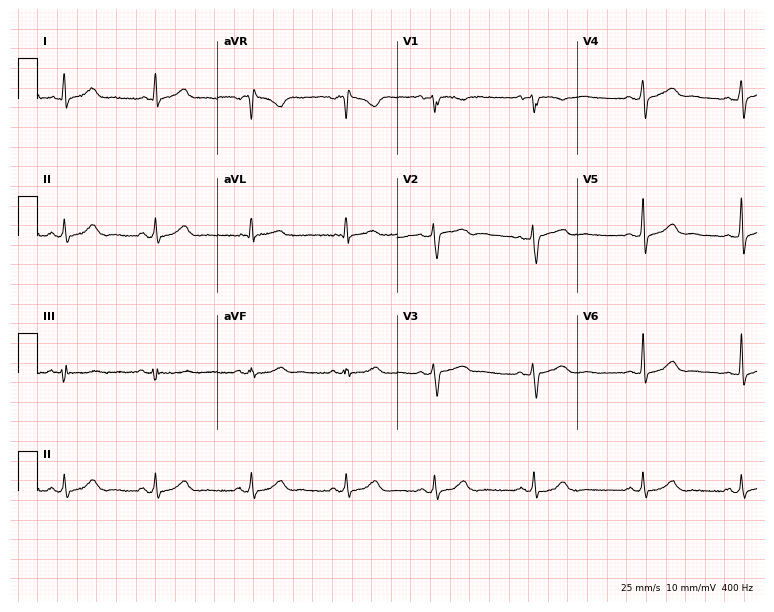
12-lead ECG from a 51-year-old woman. No first-degree AV block, right bundle branch block, left bundle branch block, sinus bradycardia, atrial fibrillation or sinus tachycardia recorded for this tracing. Findings outside these six are not listed.